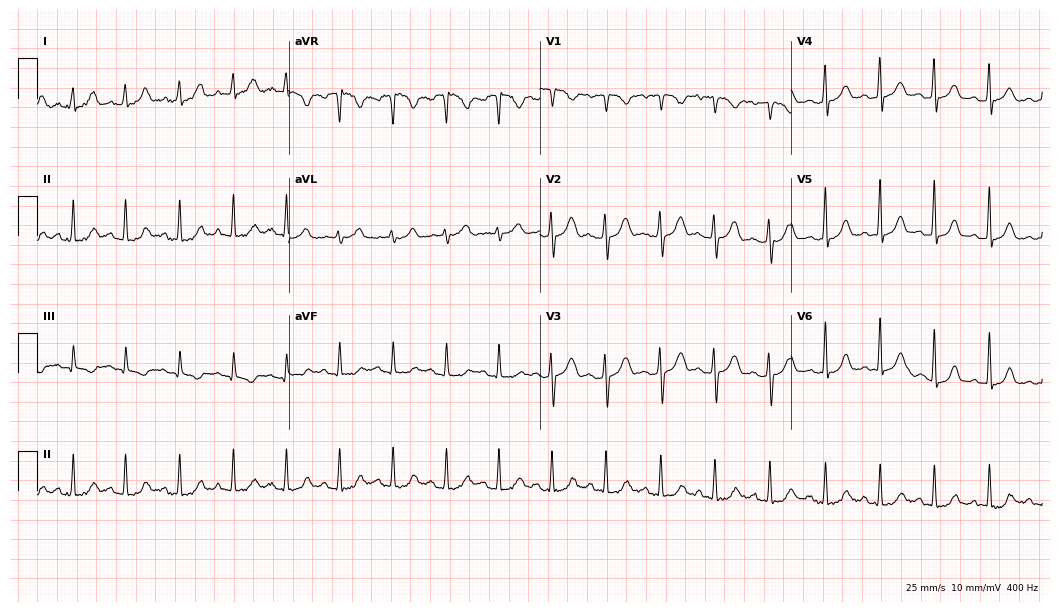
12-lead ECG (10.2-second recording at 400 Hz) from a 19-year-old female. Findings include sinus tachycardia (a sinus rate of 100 beats per minute or more).